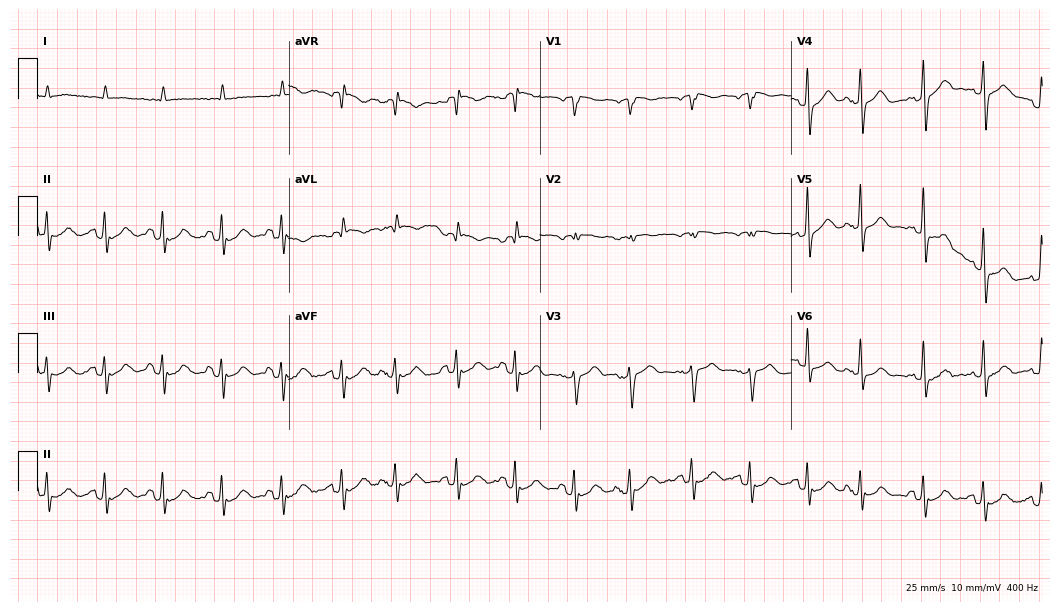
12-lead ECG (10.2-second recording at 400 Hz) from a 71-year-old male patient. Findings include sinus tachycardia (a sinus rate of 100 beats per minute or more).